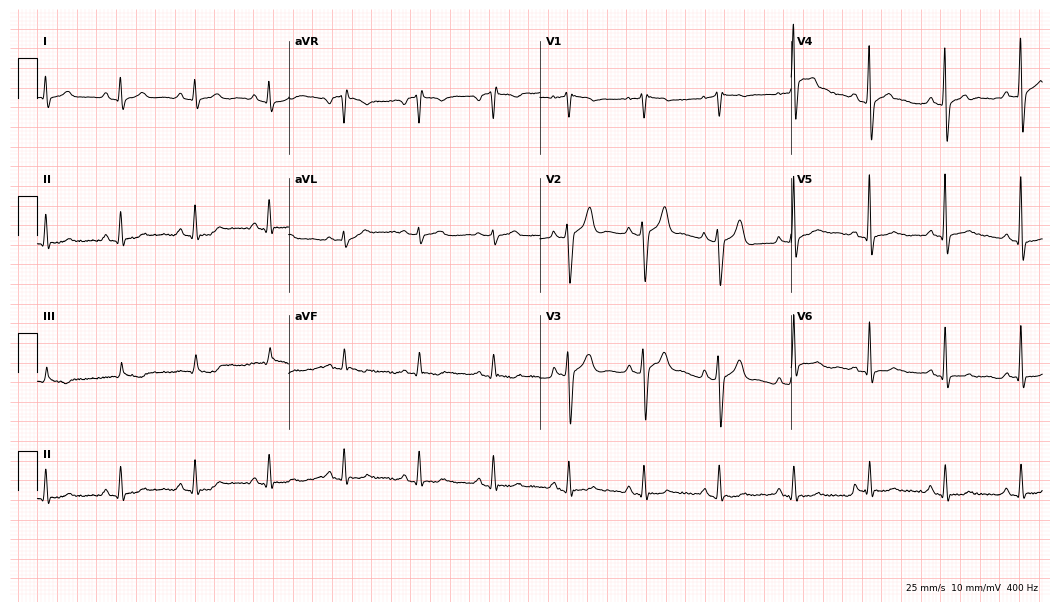
12-lead ECG (10.2-second recording at 400 Hz) from a 55-year-old man. Labelled as a normal ECG.